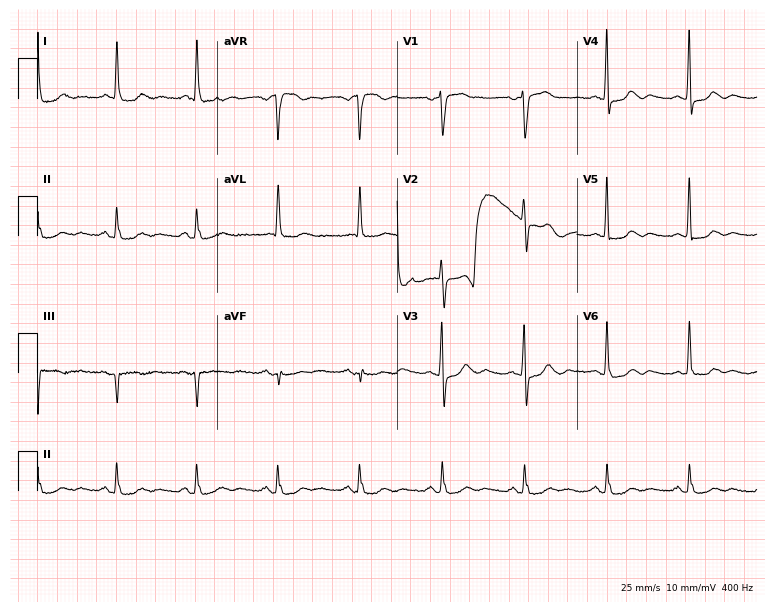
Electrocardiogram (7.3-second recording at 400 Hz), a woman, 64 years old. Of the six screened findings (first-degree AV block, right bundle branch block (RBBB), left bundle branch block (LBBB), sinus bradycardia, atrial fibrillation (AF), sinus tachycardia), none is recorded.